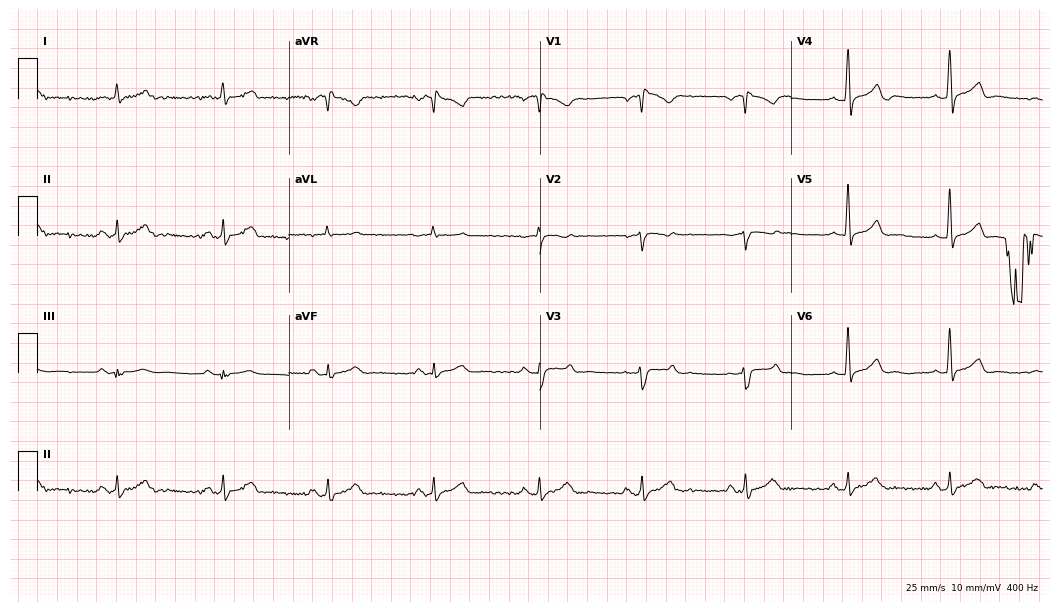
Electrocardiogram, a 60-year-old male patient. Of the six screened findings (first-degree AV block, right bundle branch block, left bundle branch block, sinus bradycardia, atrial fibrillation, sinus tachycardia), none is recorded. Other findings, if any, are not listed.